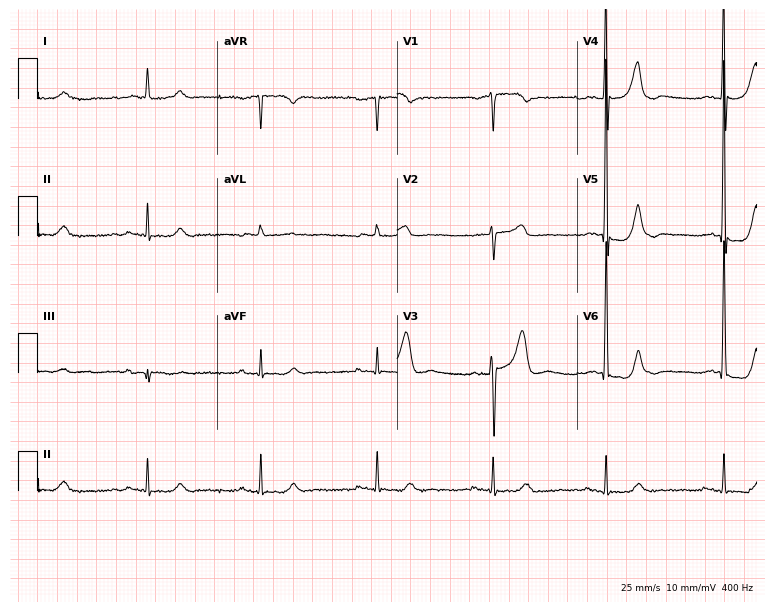
Electrocardiogram (7.3-second recording at 400 Hz), a male patient, 79 years old. Of the six screened findings (first-degree AV block, right bundle branch block, left bundle branch block, sinus bradycardia, atrial fibrillation, sinus tachycardia), none is recorded.